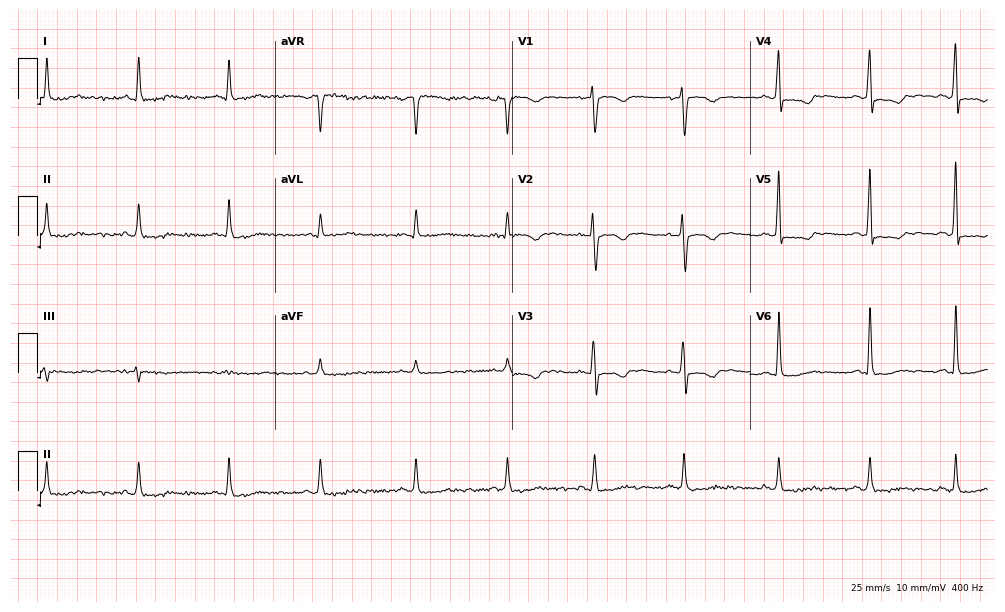
Electrocardiogram (9.7-second recording at 400 Hz), a female, 55 years old. Of the six screened findings (first-degree AV block, right bundle branch block (RBBB), left bundle branch block (LBBB), sinus bradycardia, atrial fibrillation (AF), sinus tachycardia), none is recorded. Other findings, if any, are not listed.